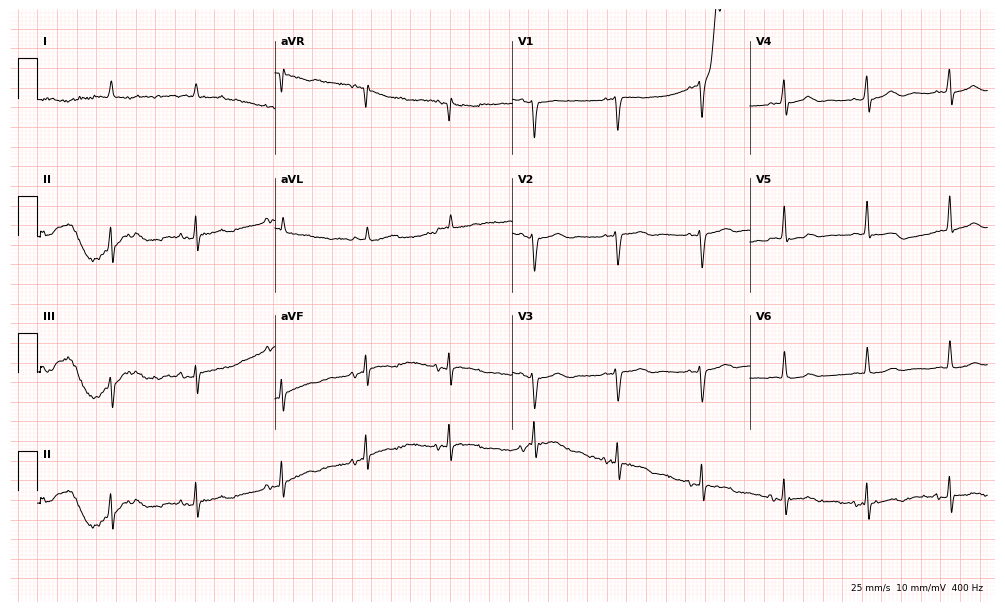
Electrocardiogram (9.7-second recording at 400 Hz), an 83-year-old male. Of the six screened findings (first-degree AV block, right bundle branch block (RBBB), left bundle branch block (LBBB), sinus bradycardia, atrial fibrillation (AF), sinus tachycardia), none is recorded.